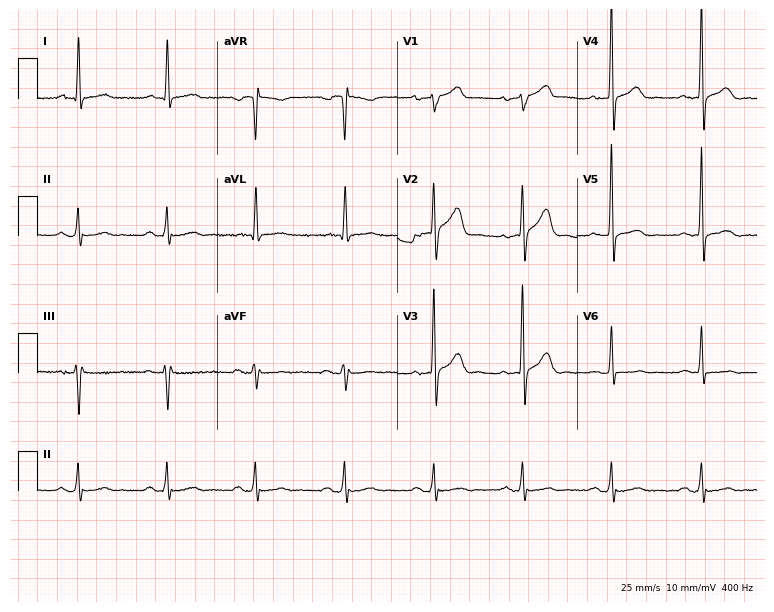
Standard 12-lead ECG recorded from a female, 76 years old (7.3-second recording at 400 Hz). None of these six findings is recorded: first-degree AV block, right bundle branch block, left bundle branch block, sinus bradycardia, atrial fibrillation, sinus tachycardia. Findings outside these six are not listed.